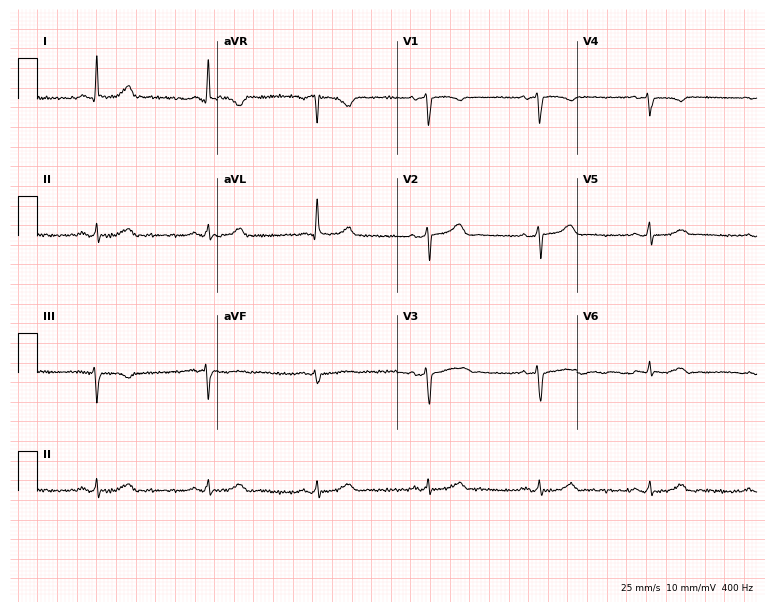
12-lead ECG from a woman, 61 years old. Screened for six findings — first-degree AV block, right bundle branch block, left bundle branch block, sinus bradycardia, atrial fibrillation, sinus tachycardia — none is recorded. Findings outside these six are not listed.